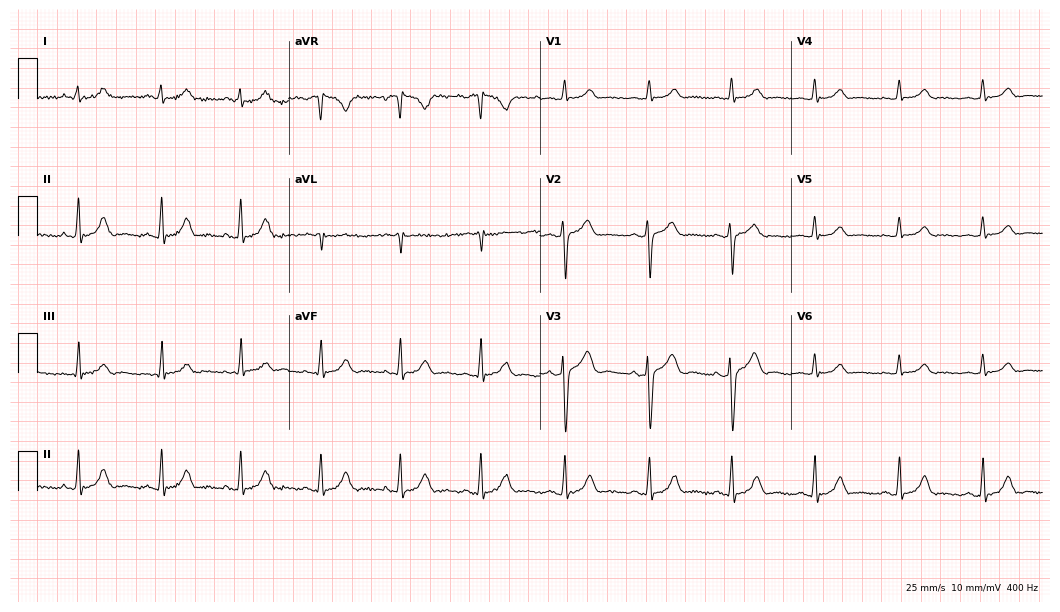
ECG (10.2-second recording at 400 Hz) — a male, 47 years old. Labelled as a normal ECG.